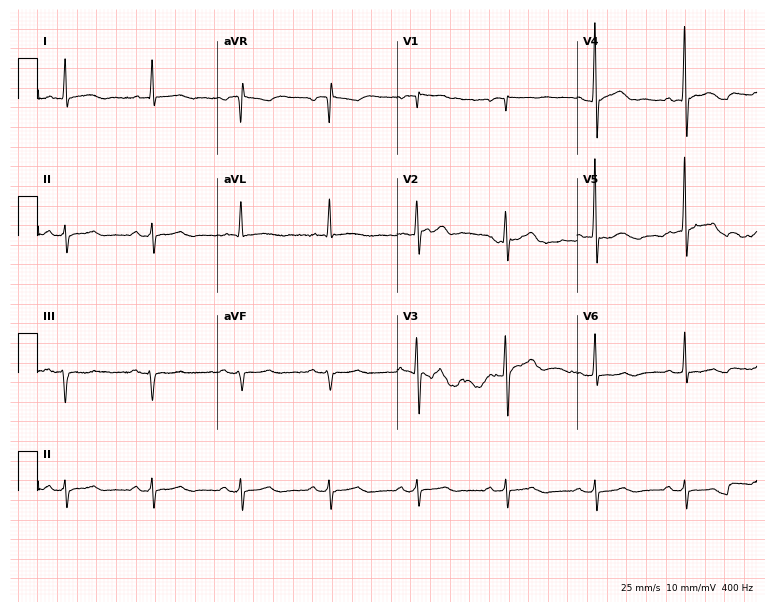
Resting 12-lead electrocardiogram (7.3-second recording at 400 Hz). Patient: a 70-year-old male. None of these six findings is recorded: first-degree AV block, right bundle branch block, left bundle branch block, sinus bradycardia, atrial fibrillation, sinus tachycardia.